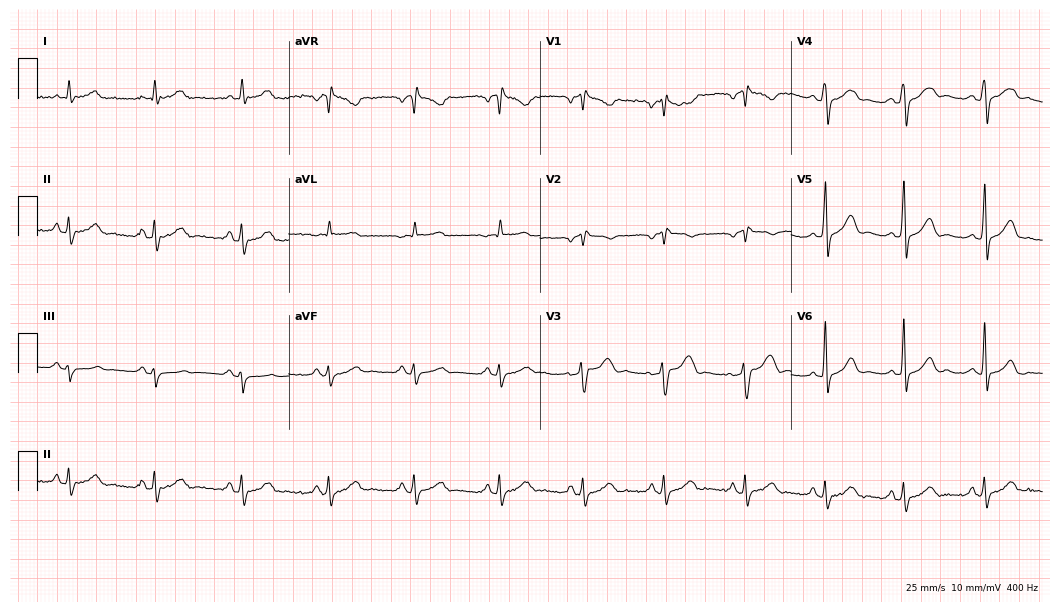
Standard 12-lead ECG recorded from a 63-year-old male patient. None of these six findings is recorded: first-degree AV block, right bundle branch block, left bundle branch block, sinus bradycardia, atrial fibrillation, sinus tachycardia. Findings outside these six are not listed.